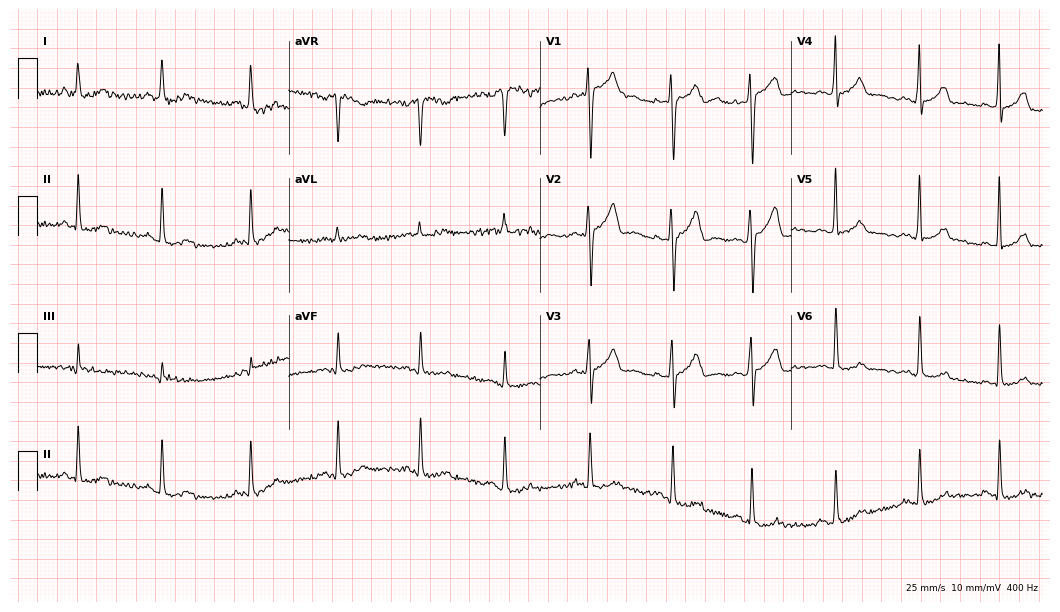
ECG (10.2-second recording at 400 Hz) — a 25-year-old female patient. Screened for six findings — first-degree AV block, right bundle branch block, left bundle branch block, sinus bradycardia, atrial fibrillation, sinus tachycardia — none is recorded. Findings outside these six are not listed.